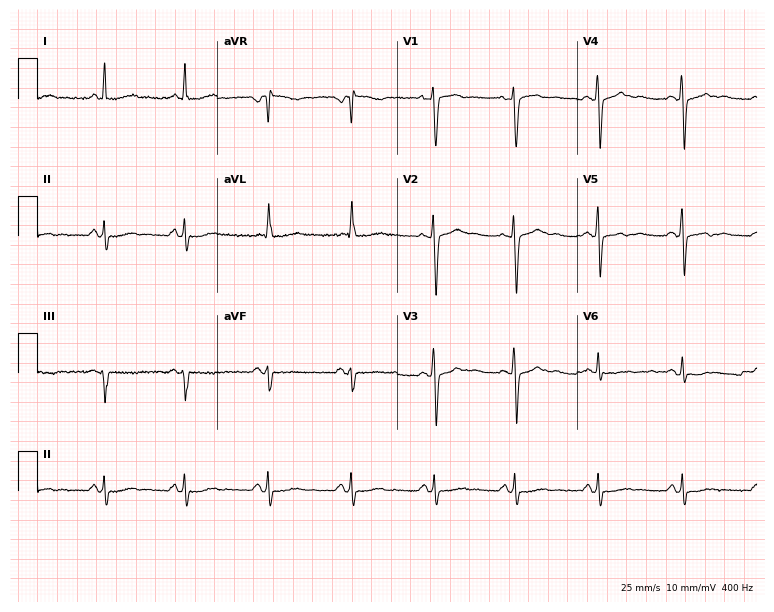
Electrocardiogram, a female patient, 65 years old. Of the six screened findings (first-degree AV block, right bundle branch block, left bundle branch block, sinus bradycardia, atrial fibrillation, sinus tachycardia), none is recorded.